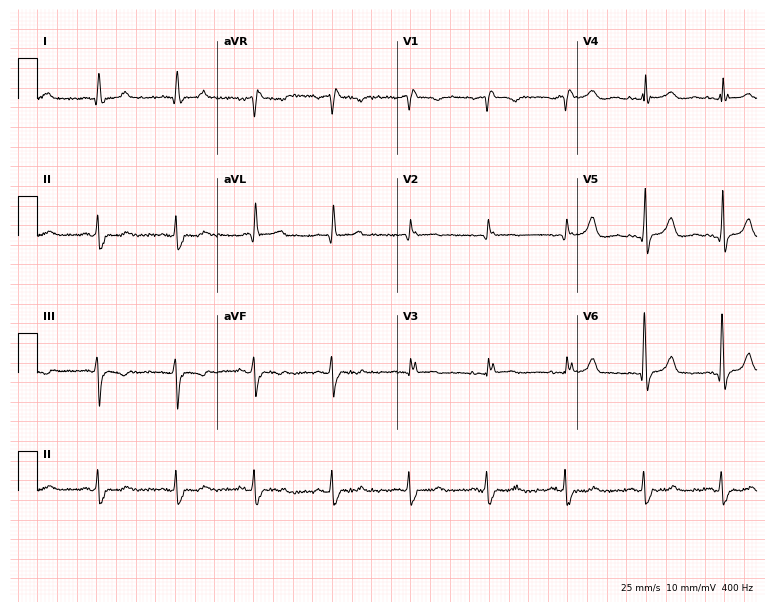
ECG — a 48-year-old woman. Screened for six findings — first-degree AV block, right bundle branch block, left bundle branch block, sinus bradycardia, atrial fibrillation, sinus tachycardia — none is recorded. Other findings, if any, are not listed.